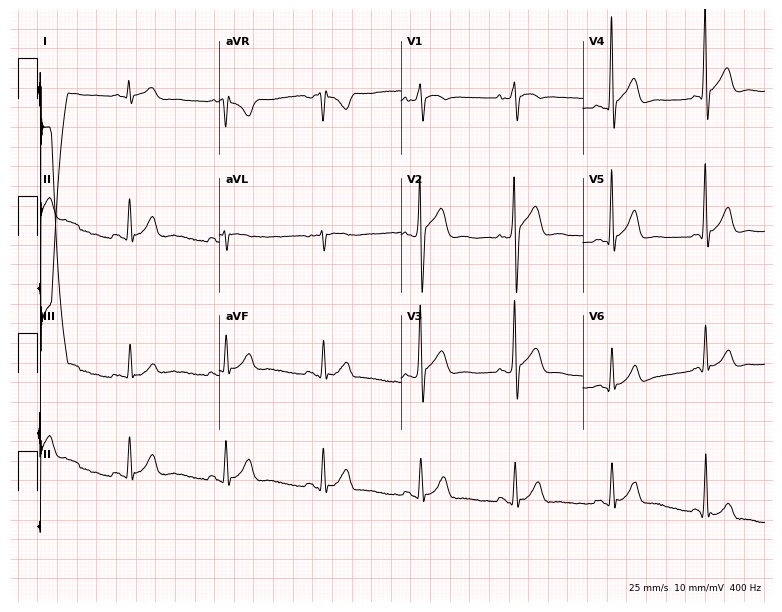
ECG — a 32-year-old male. Screened for six findings — first-degree AV block, right bundle branch block, left bundle branch block, sinus bradycardia, atrial fibrillation, sinus tachycardia — none is recorded.